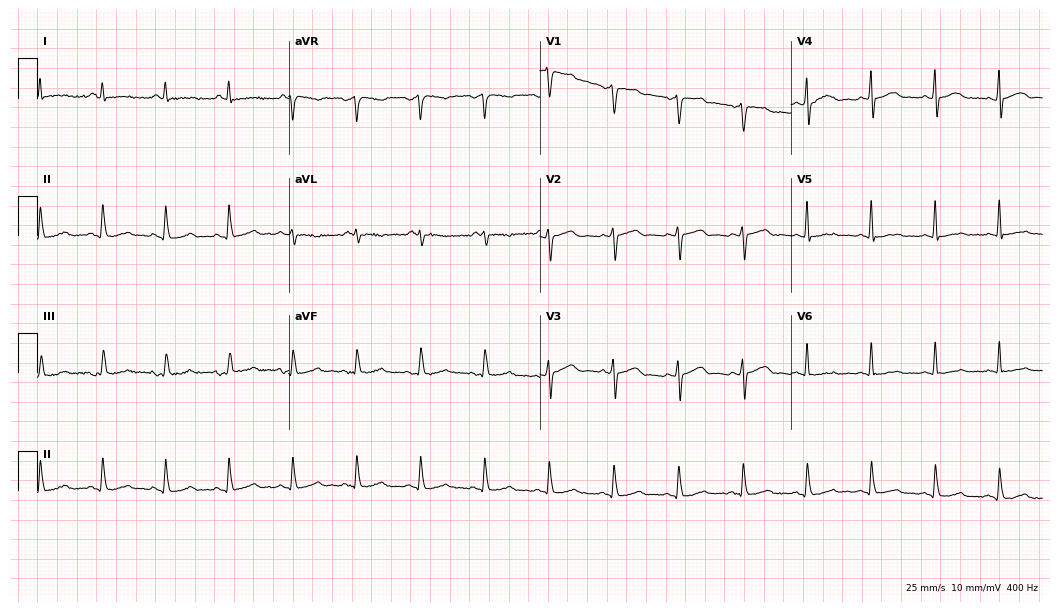
Electrocardiogram (10.2-second recording at 400 Hz), a male, 49 years old. Overall reading on record: normal ECG.